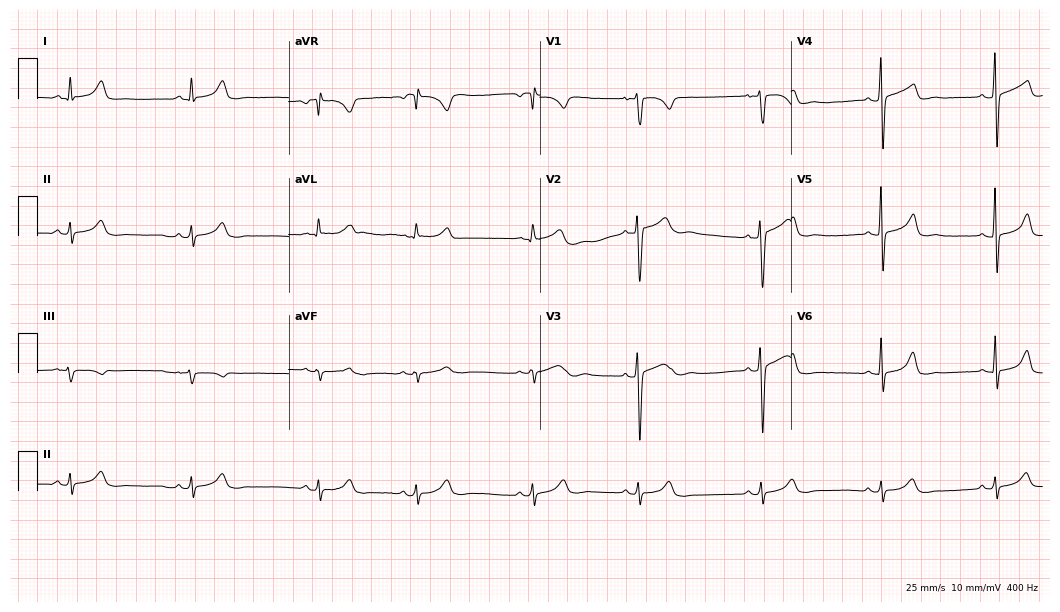
Resting 12-lead electrocardiogram (10.2-second recording at 400 Hz). Patient: a 27-year-old man. The tracing shows sinus bradycardia (a sinus rate of 50 beats per minute or less).